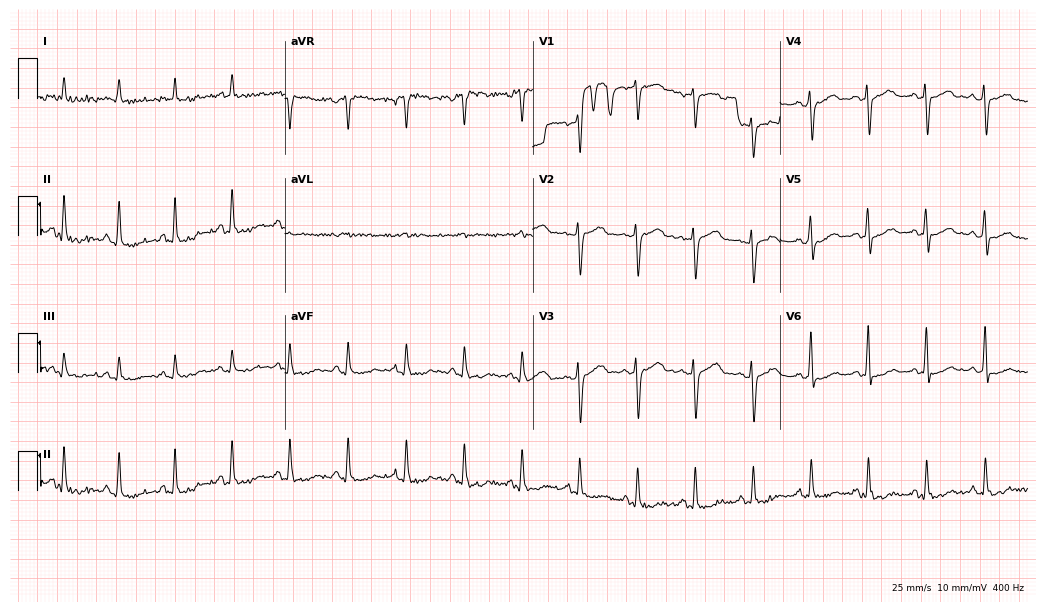
Standard 12-lead ECG recorded from a 53-year-old female. The tracing shows sinus tachycardia (a sinus rate of 100 beats per minute or more).